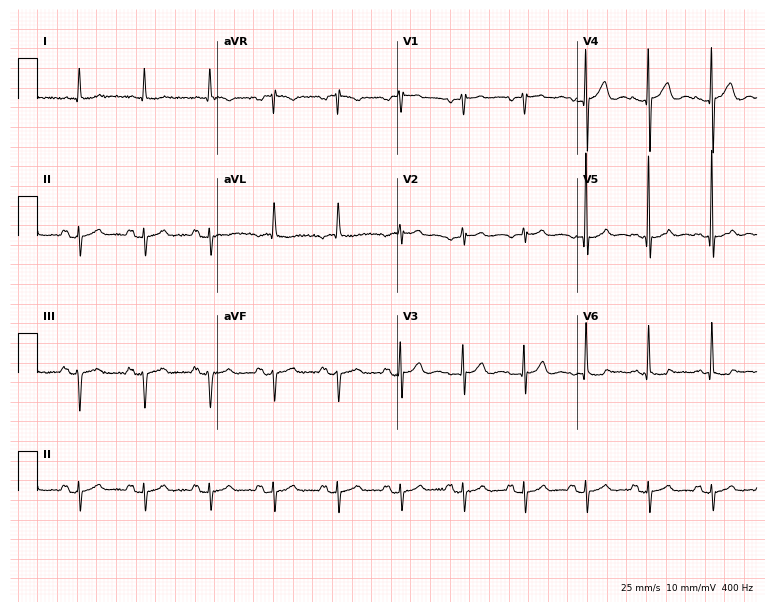
12-lead ECG (7.3-second recording at 400 Hz) from a female, 82 years old. Screened for six findings — first-degree AV block, right bundle branch block, left bundle branch block, sinus bradycardia, atrial fibrillation, sinus tachycardia — none is recorded.